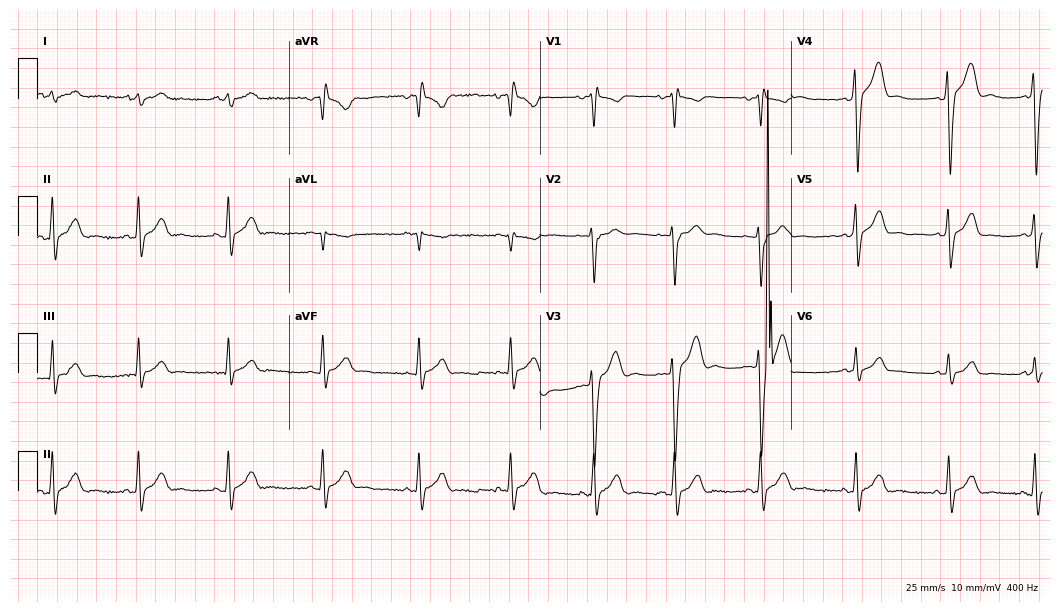
12-lead ECG from a 19-year-old male patient. Screened for six findings — first-degree AV block, right bundle branch block, left bundle branch block, sinus bradycardia, atrial fibrillation, sinus tachycardia — none is recorded.